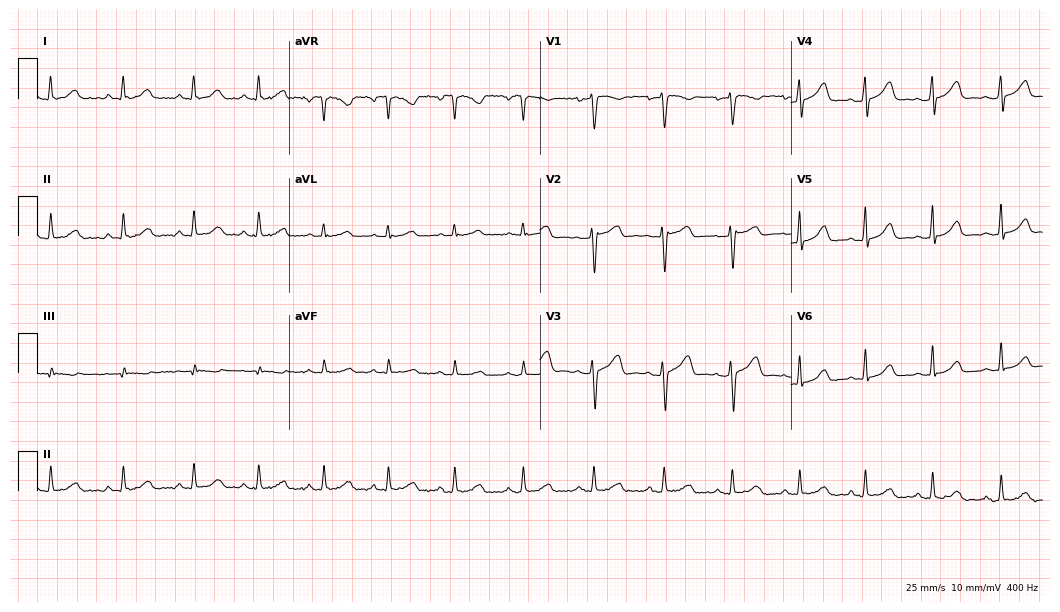
Electrocardiogram, a 29-year-old female patient. Of the six screened findings (first-degree AV block, right bundle branch block, left bundle branch block, sinus bradycardia, atrial fibrillation, sinus tachycardia), none is recorded.